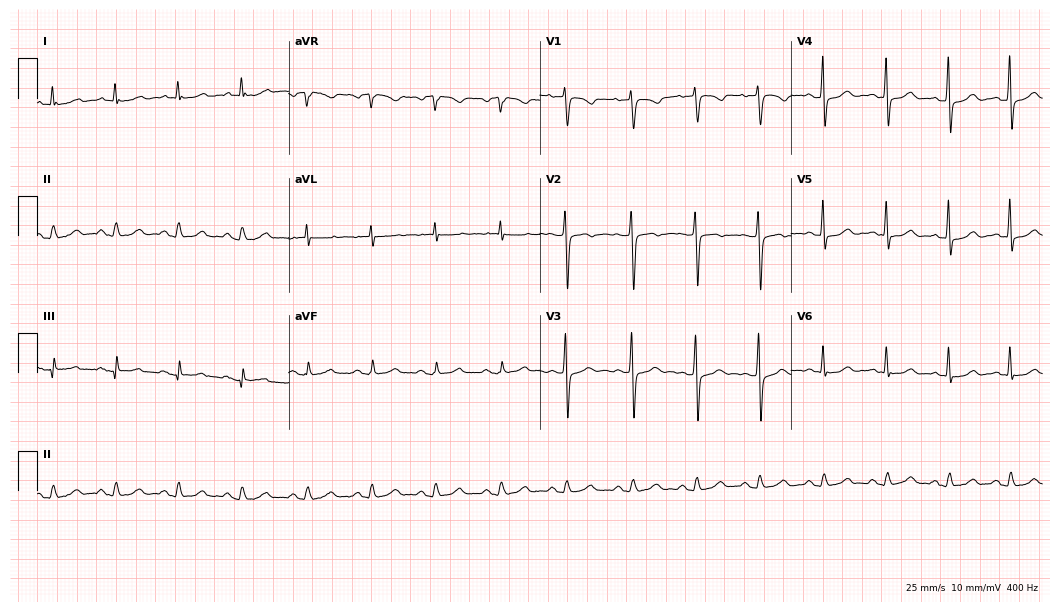
12-lead ECG from a 58-year-old female. No first-degree AV block, right bundle branch block, left bundle branch block, sinus bradycardia, atrial fibrillation or sinus tachycardia recorded for this tracing. Other findings, if any, are not listed.